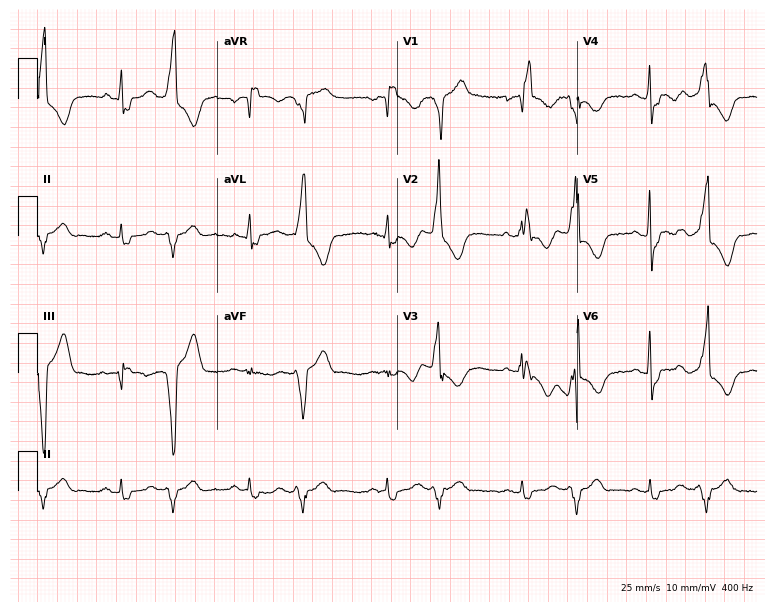
Standard 12-lead ECG recorded from a 63-year-old female (7.3-second recording at 400 Hz). The tracing shows right bundle branch block.